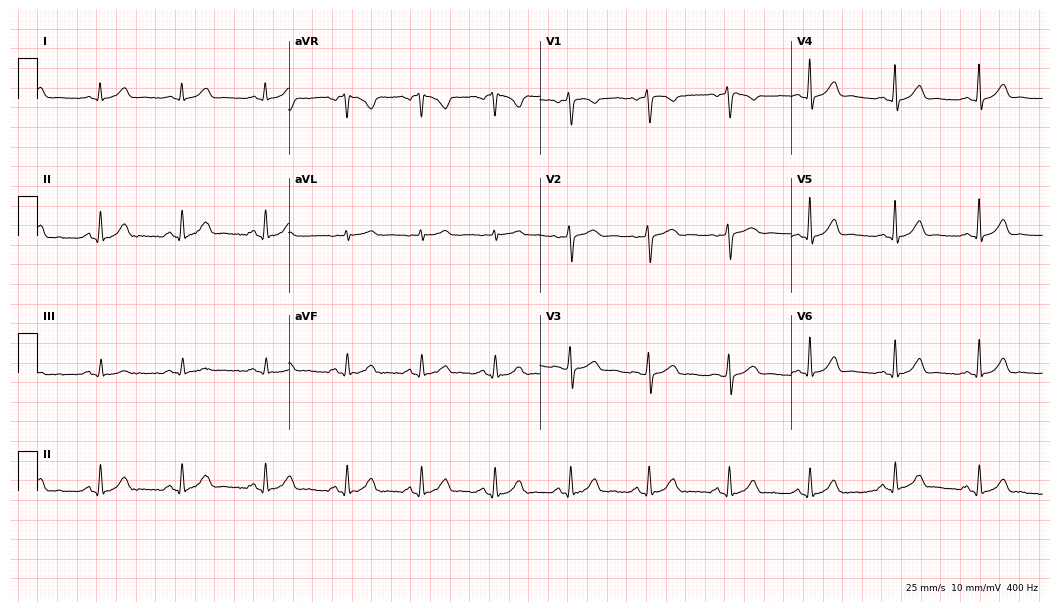
ECG — a 43-year-old woman. Screened for six findings — first-degree AV block, right bundle branch block, left bundle branch block, sinus bradycardia, atrial fibrillation, sinus tachycardia — none is recorded.